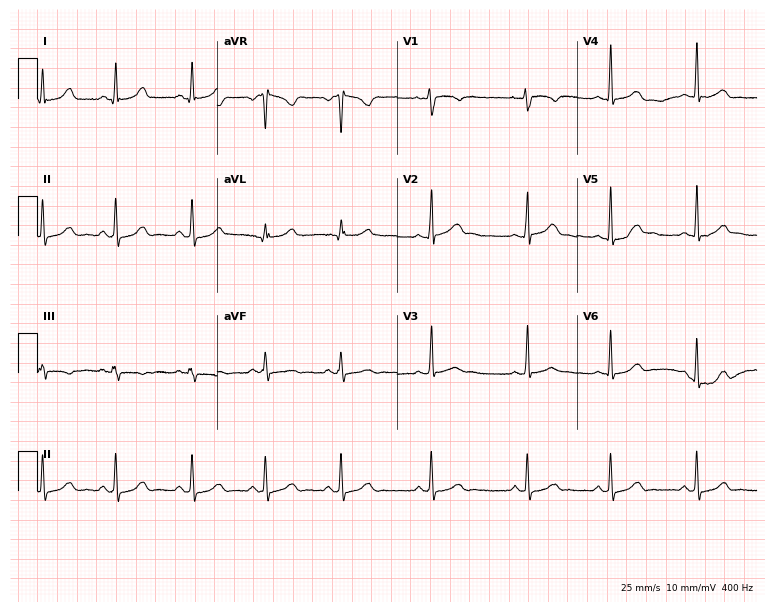
Standard 12-lead ECG recorded from a female patient, 26 years old (7.3-second recording at 400 Hz). Read as a normal ECG.